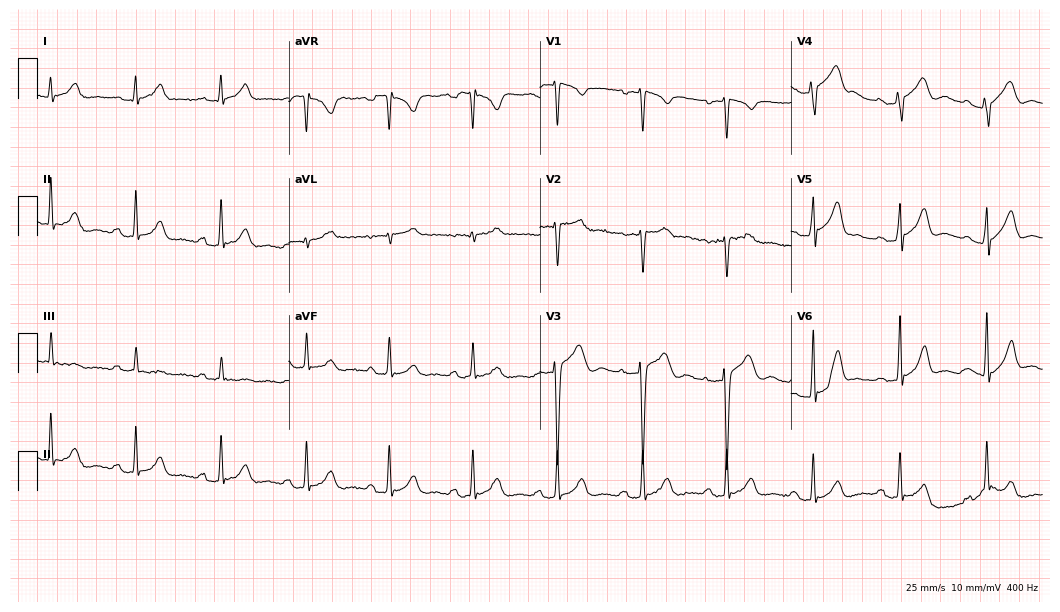
Electrocardiogram, a male, 38 years old. Overall reading on record: normal ECG.